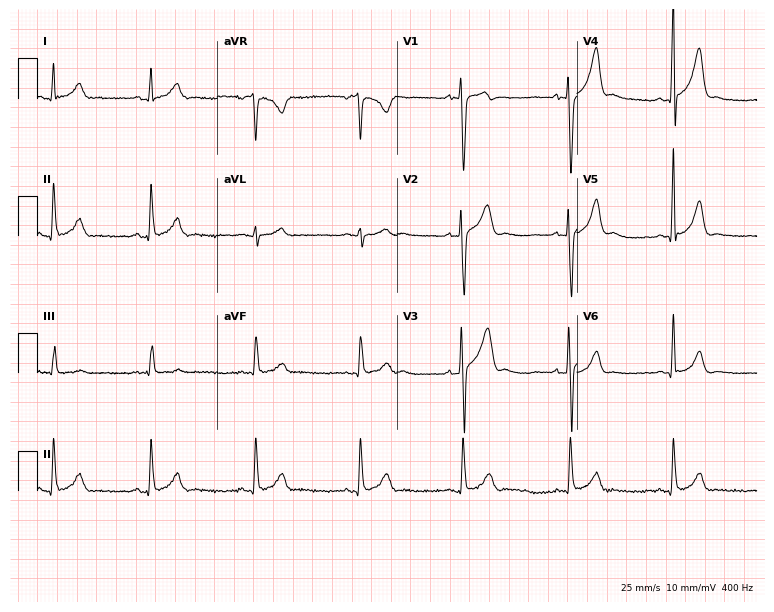
Standard 12-lead ECG recorded from a male patient, 27 years old. Read as a normal ECG.